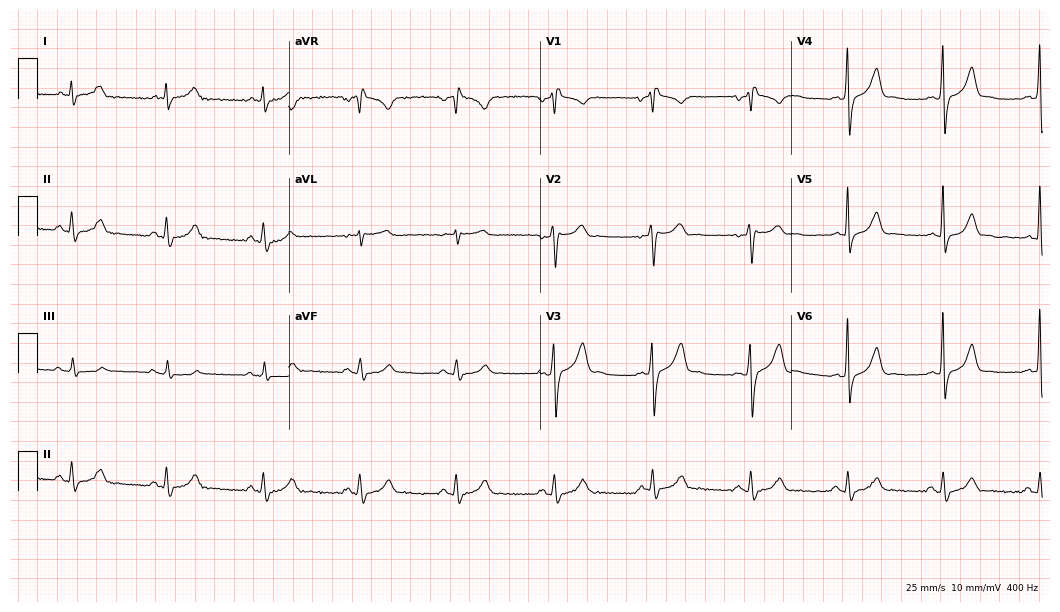
Resting 12-lead electrocardiogram. Patient: a male, 39 years old. The tracing shows right bundle branch block (RBBB).